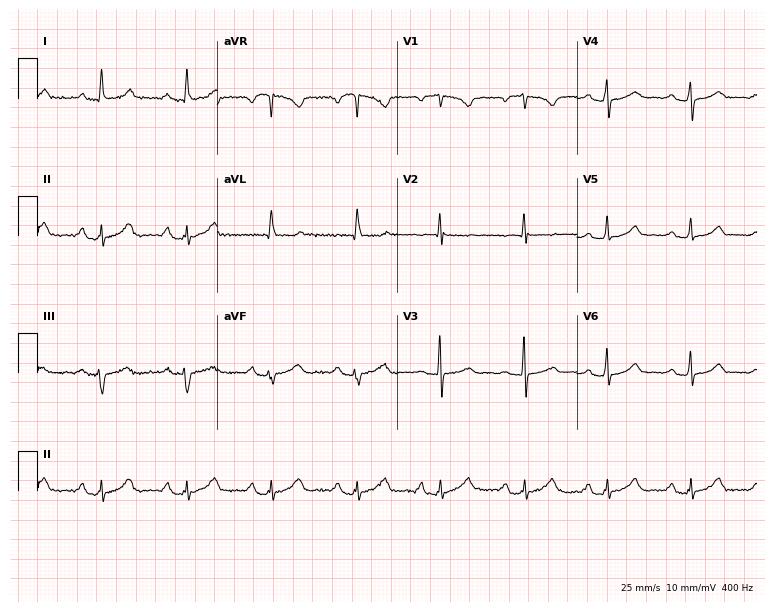
Standard 12-lead ECG recorded from a 58-year-old female (7.3-second recording at 400 Hz). Read as a normal ECG.